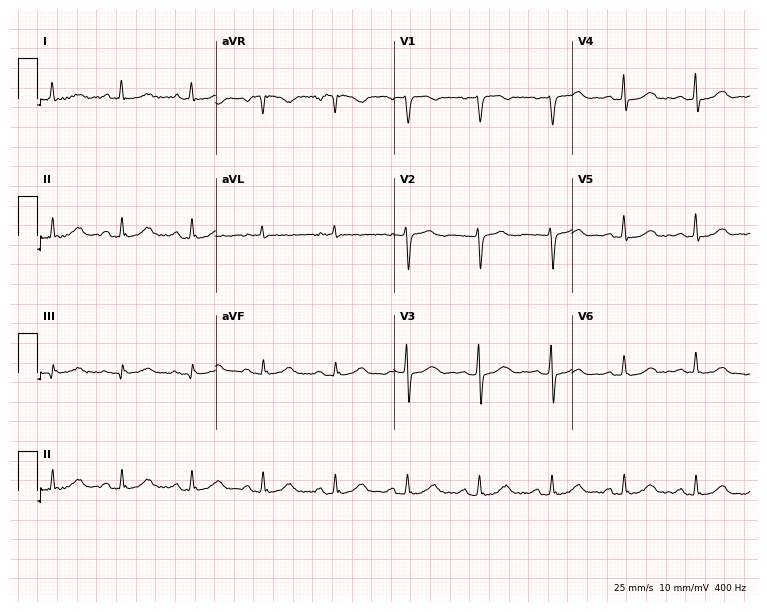
12-lead ECG from a 55-year-old female patient. Screened for six findings — first-degree AV block, right bundle branch block, left bundle branch block, sinus bradycardia, atrial fibrillation, sinus tachycardia — none is recorded. Only these six findings were labelled.